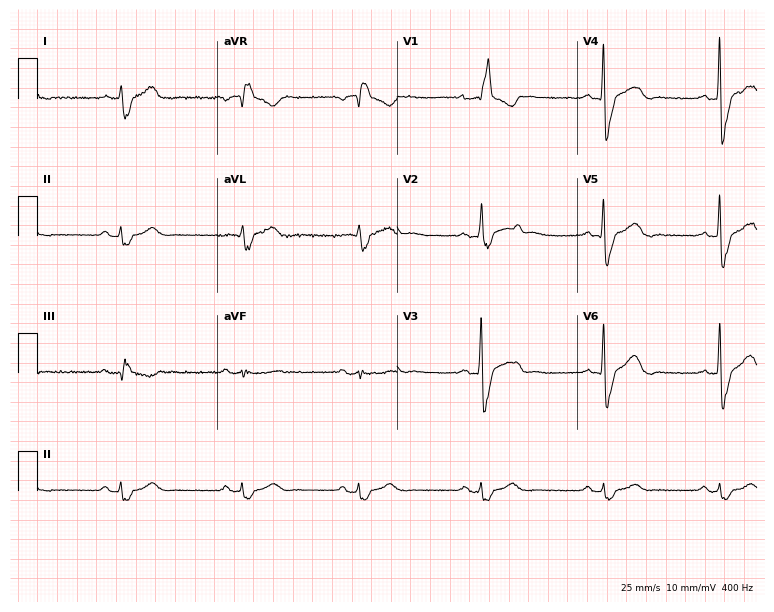
ECG — a male, 56 years old. Findings include right bundle branch block (RBBB).